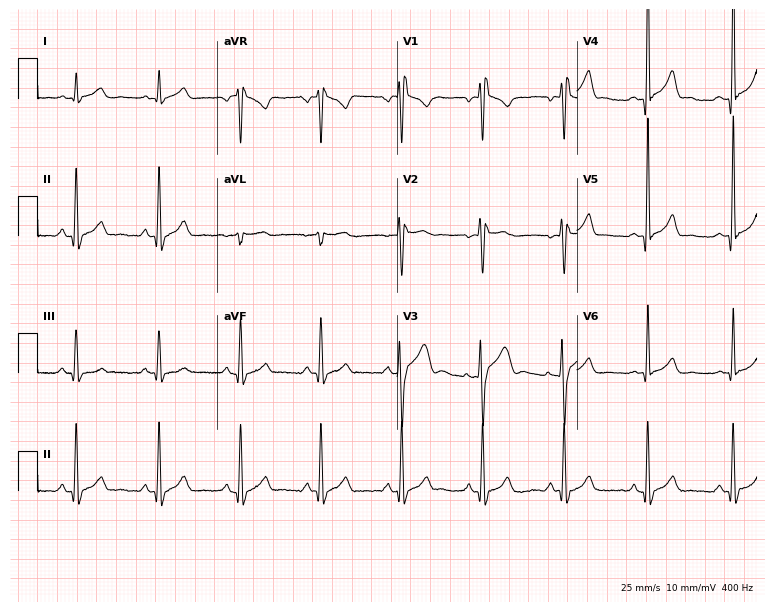
12-lead ECG from a 25-year-old male (7.3-second recording at 400 Hz). Shows right bundle branch block.